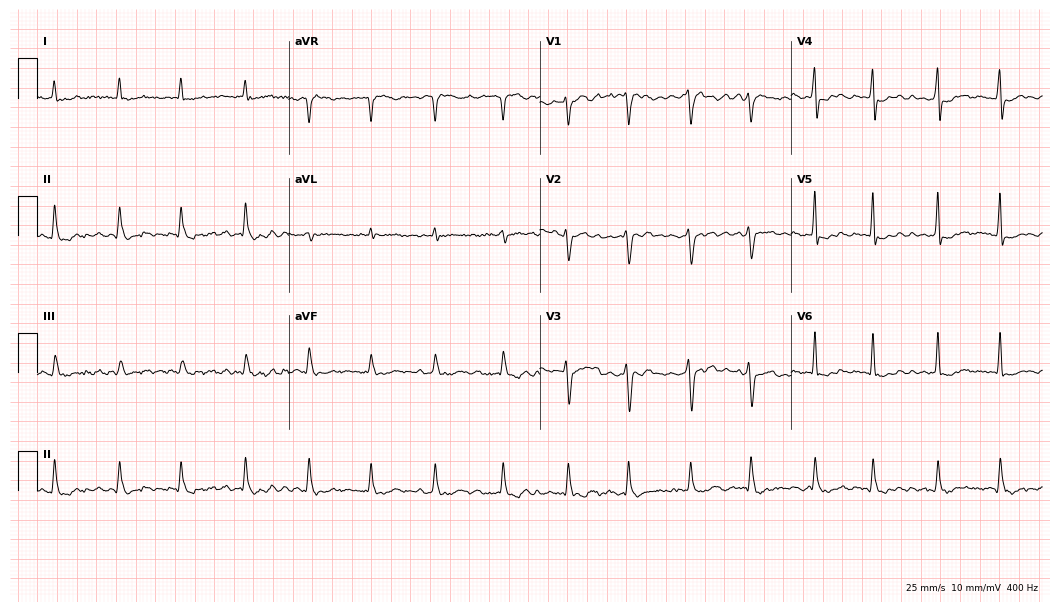
12-lead ECG from a 76-year-old man. Findings include atrial fibrillation.